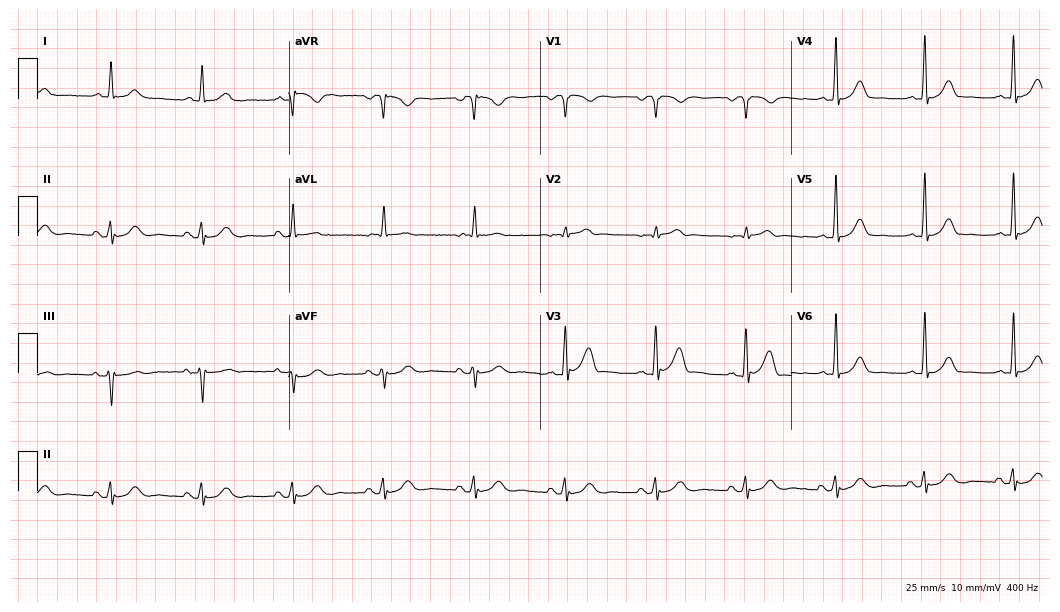
Resting 12-lead electrocardiogram. Patient: a male, 72 years old. None of these six findings is recorded: first-degree AV block, right bundle branch block, left bundle branch block, sinus bradycardia, atrial fibrillation, sinus tachycardia.